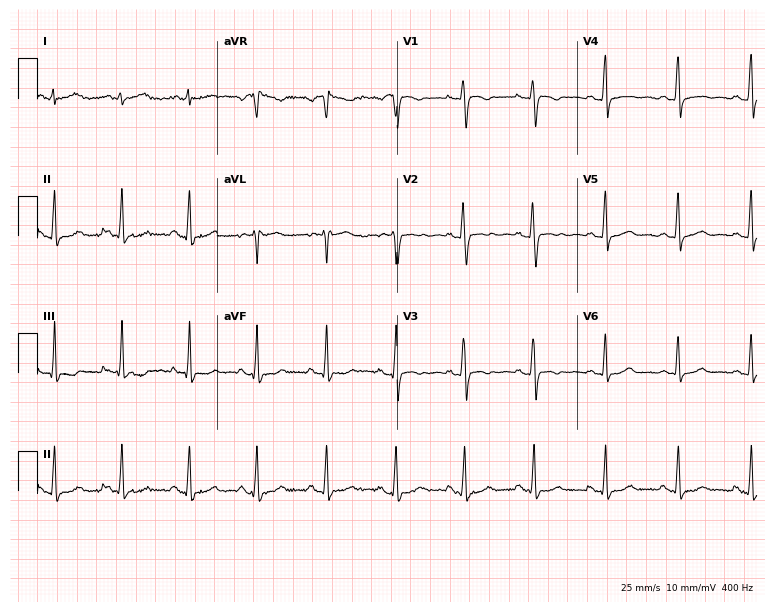
12-lead ECG (7.3-second recording at 400 Hz) from a 19-year-old woman. Labelled as a normal ECG.